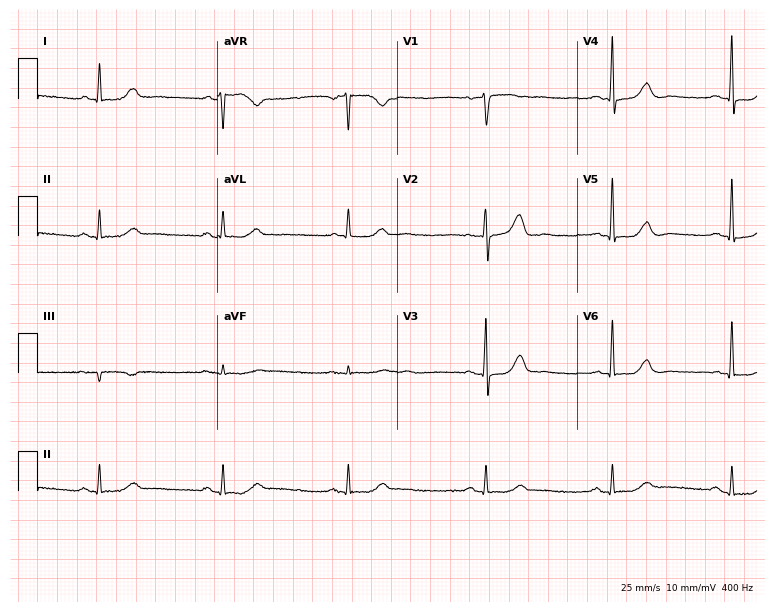
12-lead ECG from a female patient, 64 years old (7.3-second recording at 400 Hz). No first-degree AV block, right bundle branch block, left bundle branch block, sinus bradycardia, atrial fibrillation or sinus tachycardia recorded for this tracing.